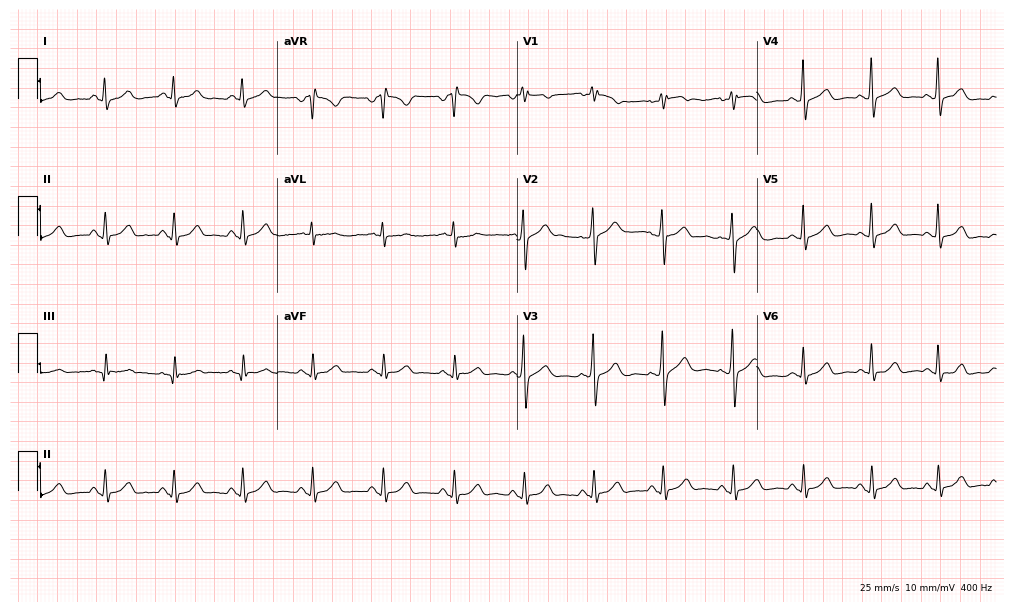
ECG — a female patient, 44 years old. Labelled as a normal ECG.